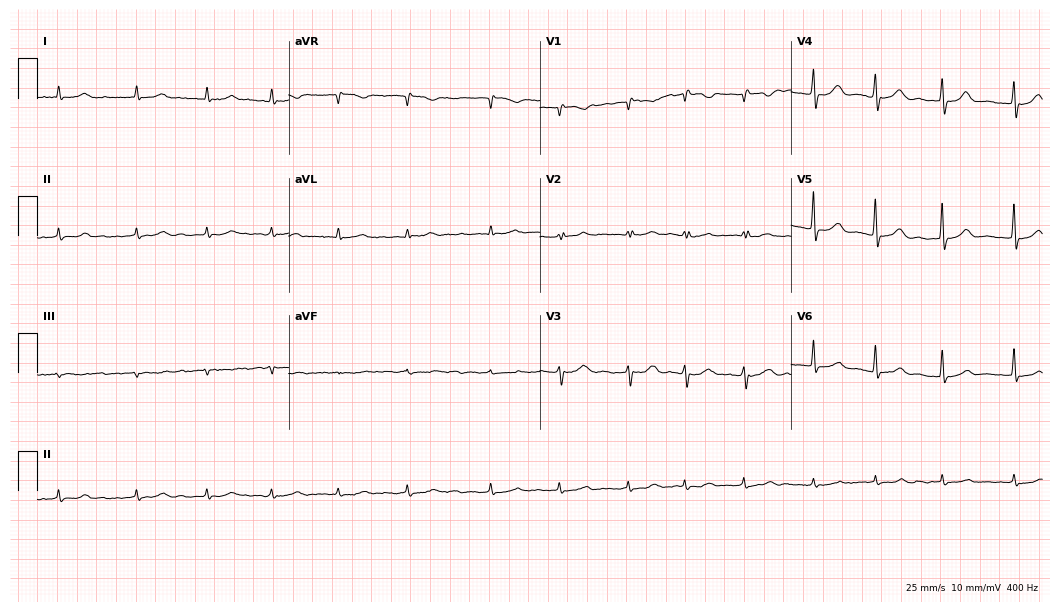
Standard 12-lead ECG recorded from a male patient, 85 years old. Read as a normal ECG.